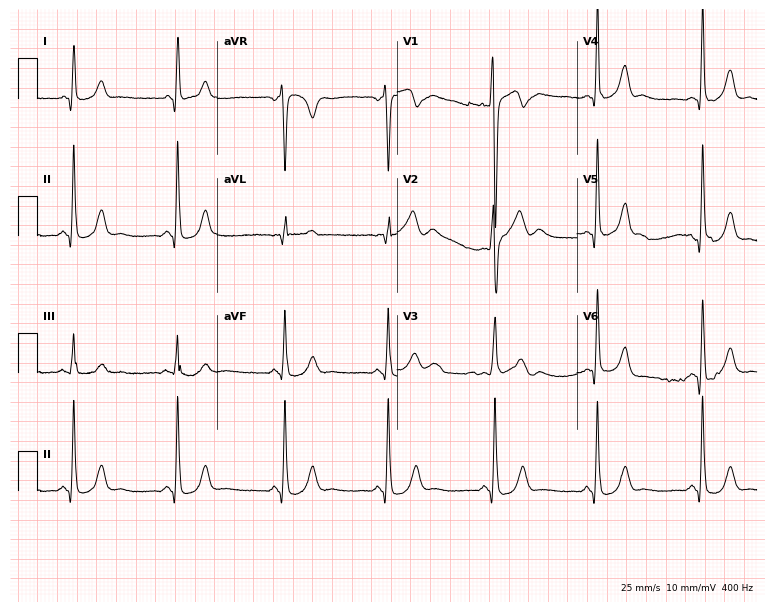
Standard 12-lead ECG recorded from a male patient, 39 years old. Read as a normal ECG.